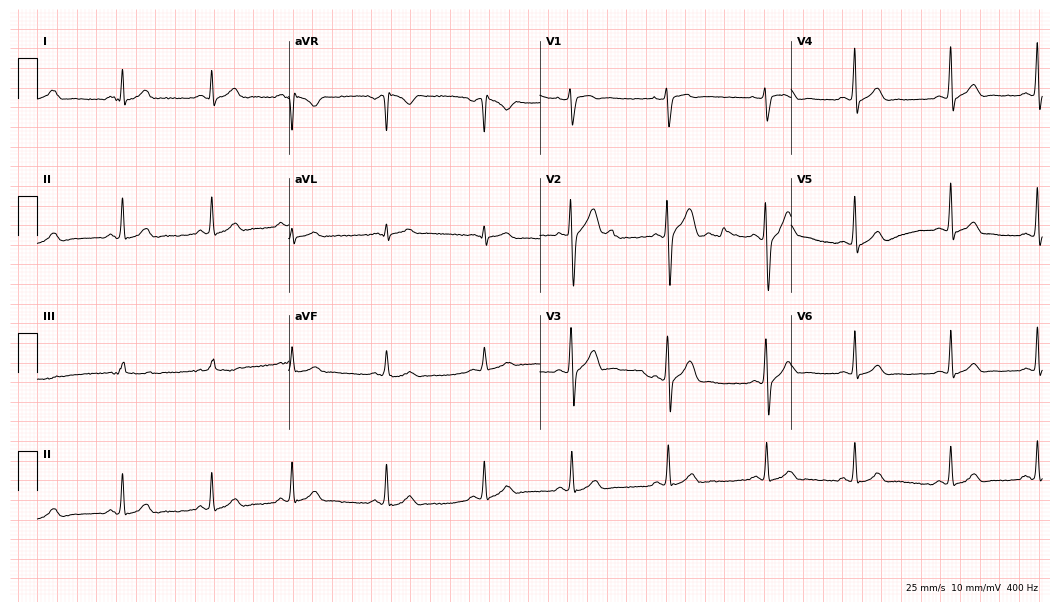
Standard 12-lead ECG recorded from a male, 24 years old. None of these six findings is recorded: first-degree AV block, right bundle branch block (RBBB), left bundle branch block (LBBB), sinus bradycardia, atrial fibrillation (AF), sinus tachycardia. Only these six findings were labelled.